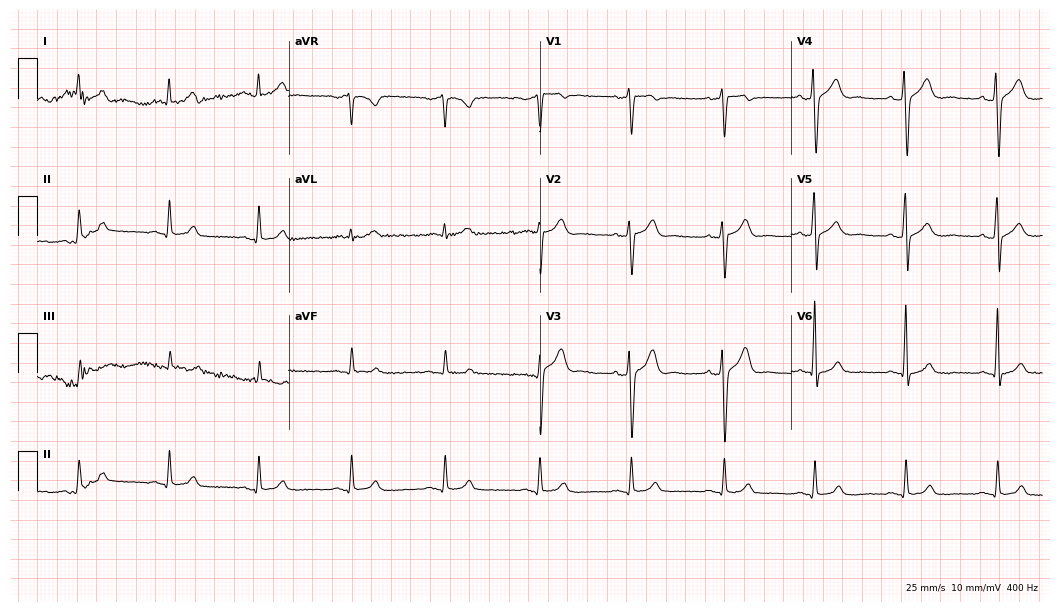
ECG — a 37-year-old male patient. Labelled as a normal ECG.